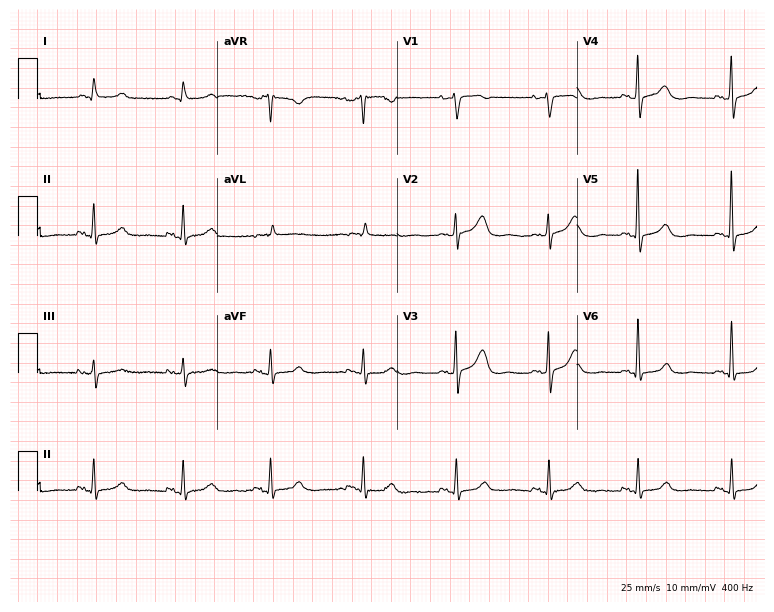
Resting 12-lead electrocardiogram. Patient: a 67-year-old man. Read as a normal ECG.